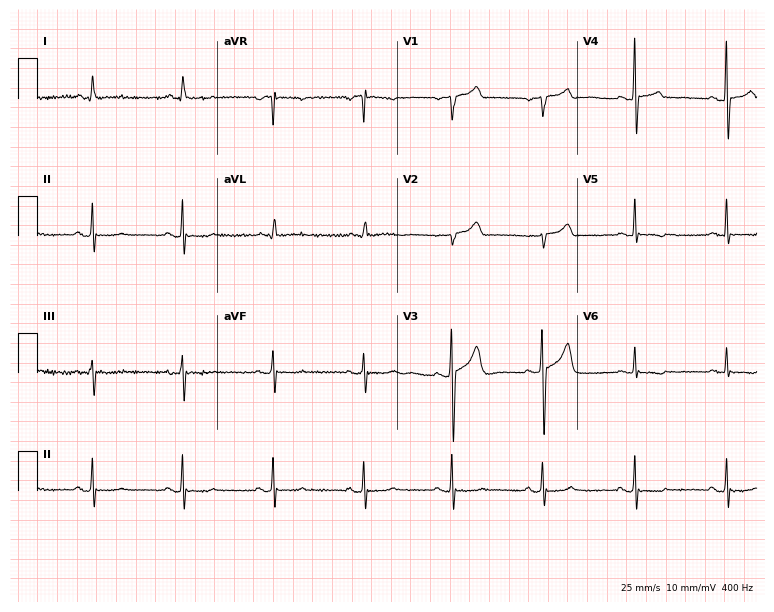
12-lead ECG from a female, 78 years old. Screened for six findings — first-degree AV block, right bundle branch block, left bundle branch block, sinus bradycardia, atrial fibrillation, sinus tachycardia — none is recorded. Only these six findings were labelled.